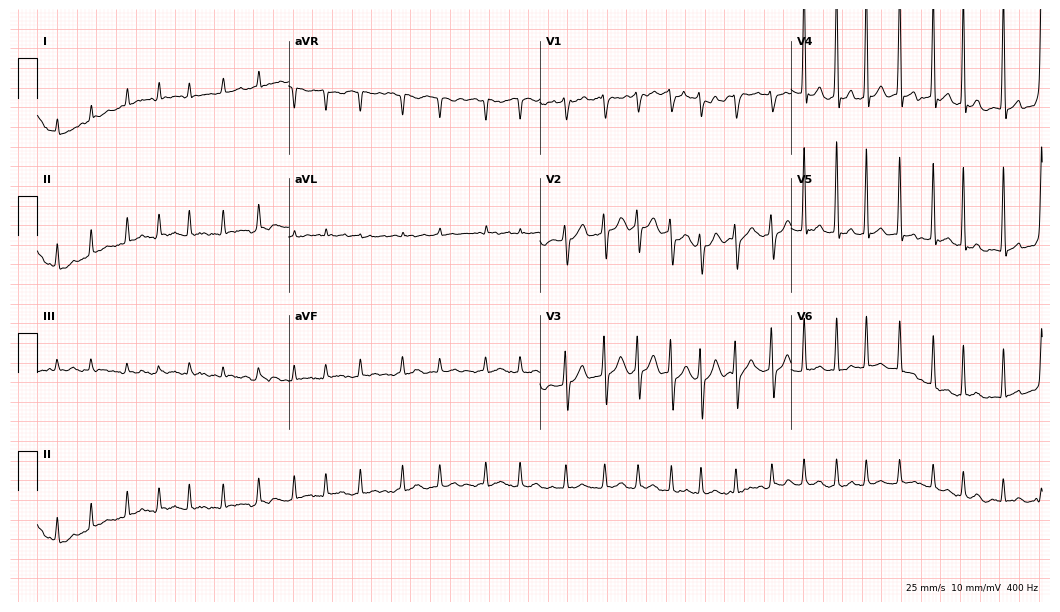
12-lead ECG from a male patient, 78 years old. Shows atrial fibrillation, sinus tachycardia (a sinus rate of 100 beats per minute or more).